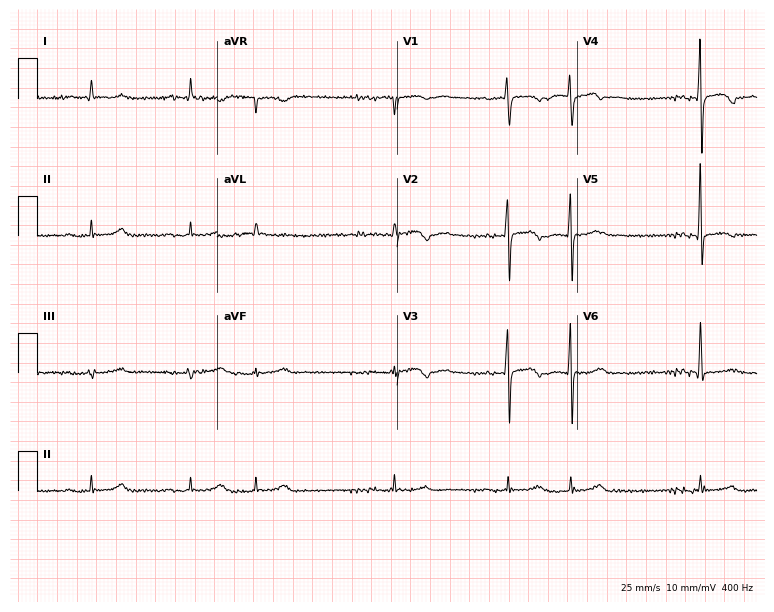
Electrocardiogram (7.3-second recording at 400 Hz), a 72-year-old man. Of the six screened findings (first-degree AV block, right bundle branch block (RBBB), left bundle branch block (LBBB), sinus bradycardia, atrial fibrillation (AF), sinus tachycardia), none is recorded.